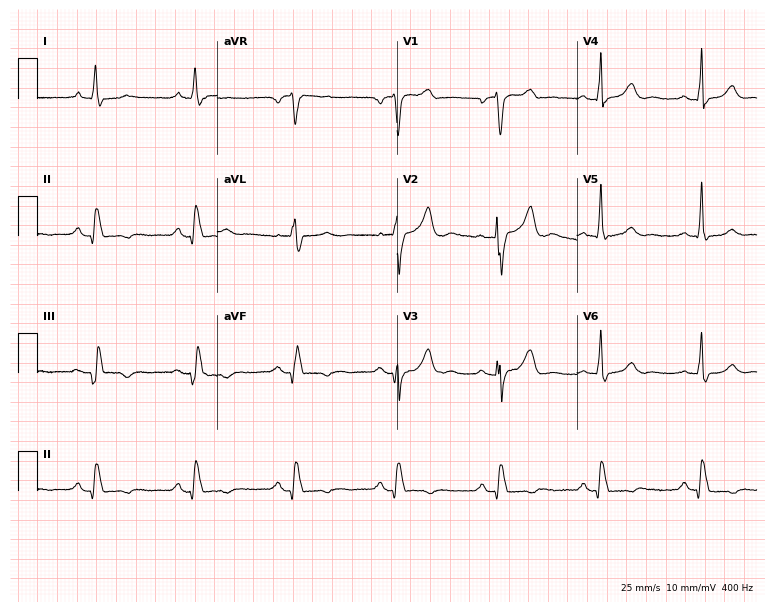
ECG — a male, 65 years old. Screened for six findings — first-degree AV block, right bundle branch block, left bundle branch block, sinus bradycardia, atrial fibrillation, sinus tachycardia — none is recorded. Only these six findings were labelled.